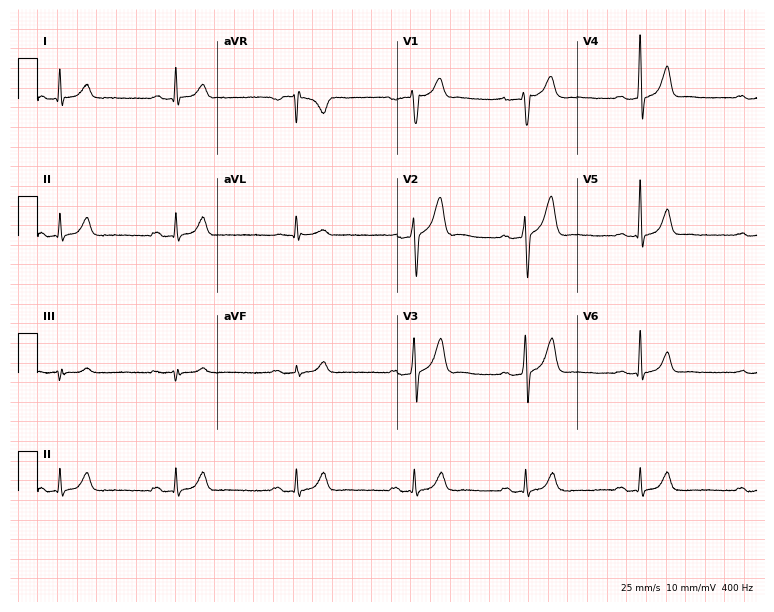
12-lead ECG from a 50-year-old male. Findings include first-degree AV block.